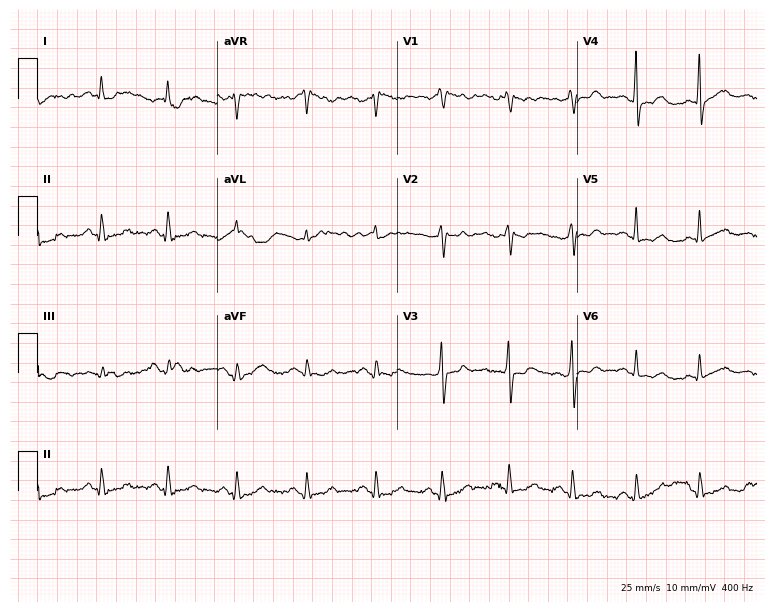
ECG — a 50-year-old female patient. Screened for six findings — first-degree AV block, right bundle branch block, left bundle branch block, sinus bradycardia, atrial fibrillation, sinus tachycardia — none is recorded. Only these six findings were labelled.